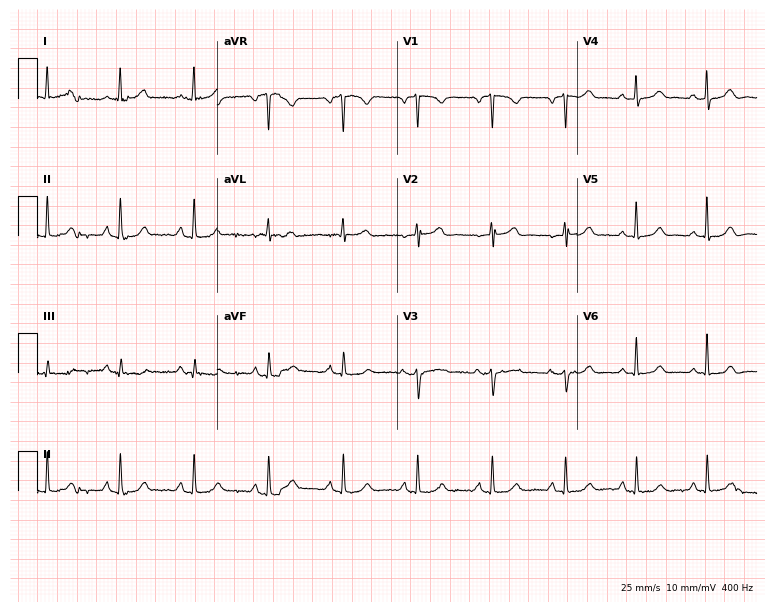
Electrocardiogram (7.3-second recording at 400 Hz), a 48-year-old woman. Overall reading on record: normal ECG.